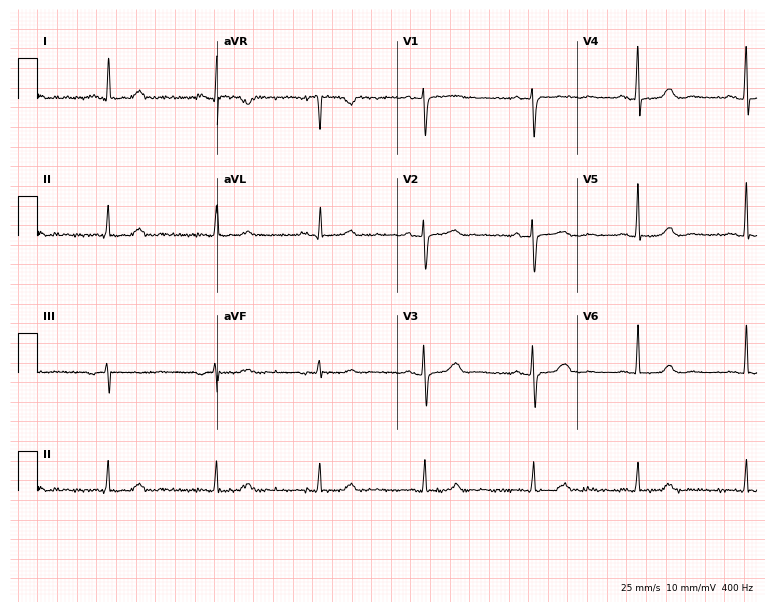
Standard 12-lead ECG recorded from a female patient, 58 years old. Read as a normal ECG.